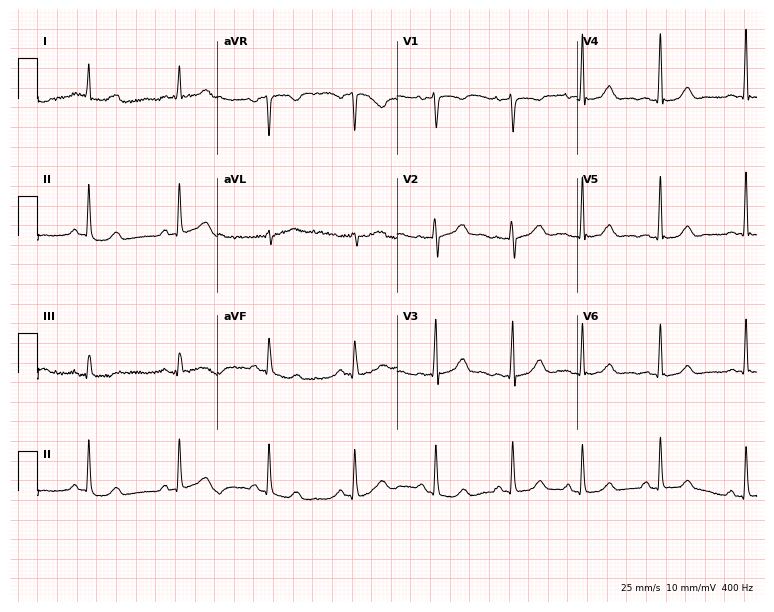
Resting 12-lead electrocardiogram. Patient: an 18-year-old woman. None of these six findings is recorded: first-degree AV block, right bundle branch block, left bundle branch block, sinus bradycardia, atrial fibrillation, sinus tachycardia. Only these six findings were labelled.